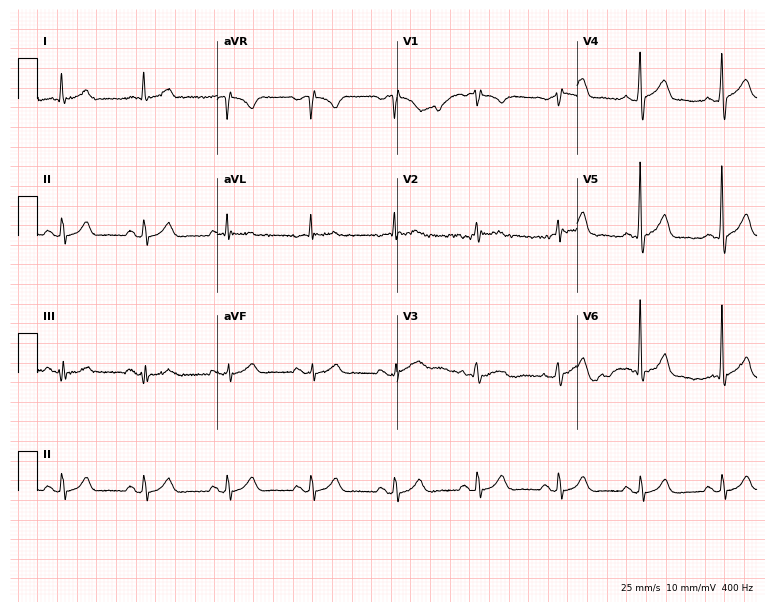
12-lead ECG from a man, 67 years old. Screened for six findings — first-degree AV block, right bundle branch block, left bundle branch block, sinus bradycardia, atrial fibrillation, sinus tachycardia — none is recorded.